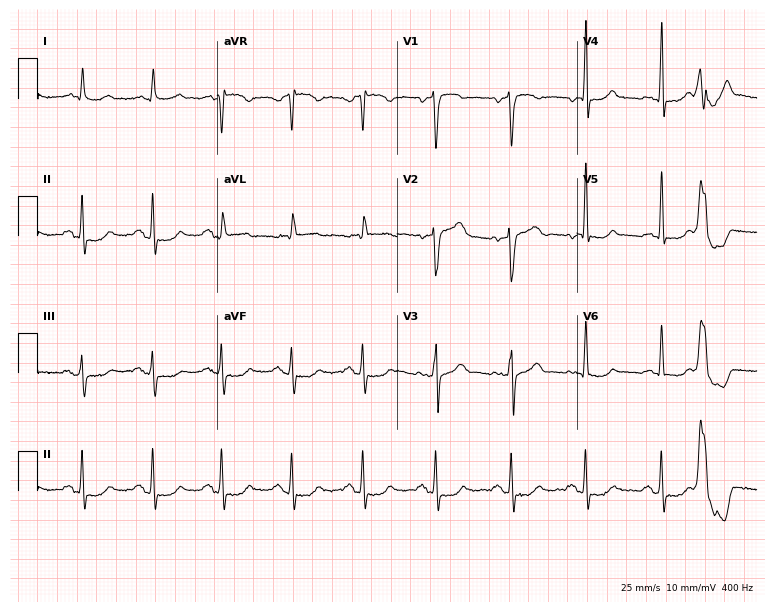
Standard 12-lead ECG recorded from a male, 62 years old (7.3-second recording at 400 Hz). None of these six findings is recorded: first-degree AV block, right bundle branch block (RBBB), left bundle branch block (LBBB), sinus bradycardia, atrial fibrillation (AF), sinus tachycardia.